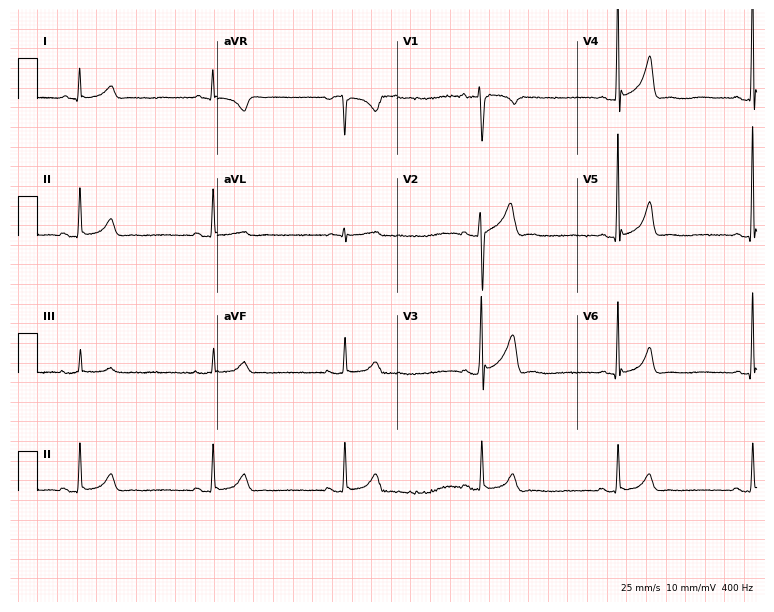
Electrocardiogram, a male, 38 years old. Interpretation includes sinus bradycardia (a sinus rate of 50 beats per minute or less).